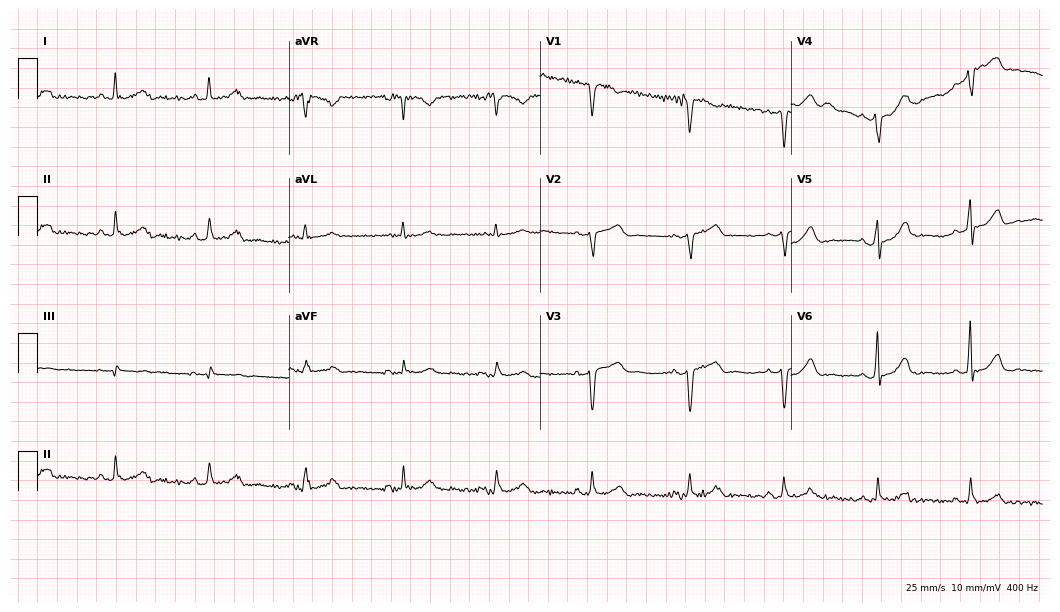
Standard 12-lead ECG recorded from a female patient, 61 years old (10.2-second recording at 400 Hz). None of these six findings is recorded: first-degree AV block, right bundle branch block (RBBB), left bundle branch block (LBBB), sinus bradycardia, atrial fibrillation (AF), sinus tachycardia.